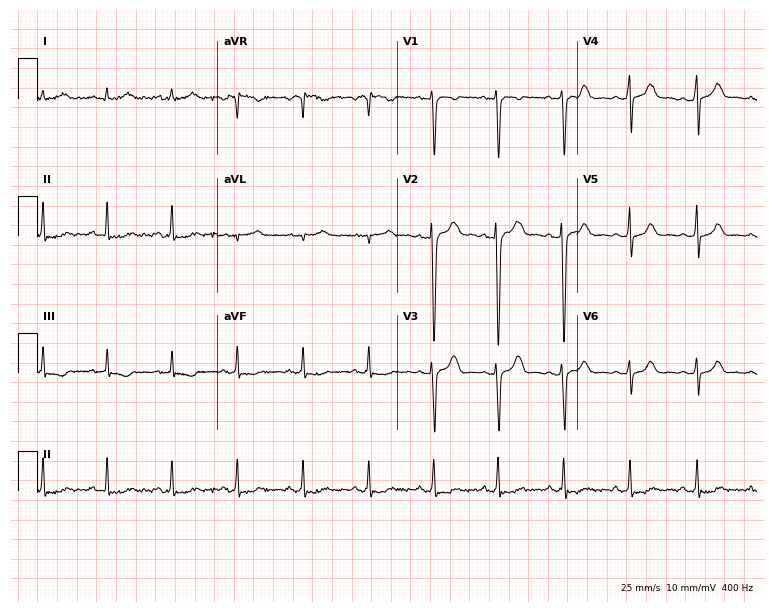
Resting 12-lead electrocardiogram. Patient: a female, 29 years old. Read as a normal ECG.